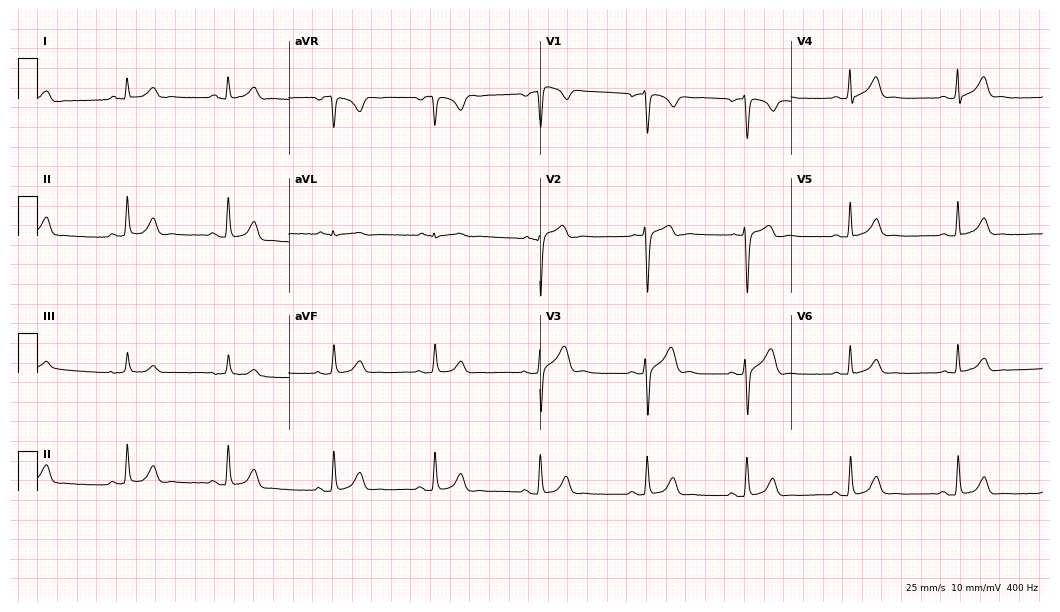
Resting 12-lead electrocardiogram (10.2-second recording at 400 Hz). Patient: a 42-year-old male. Read as a normal ECG.